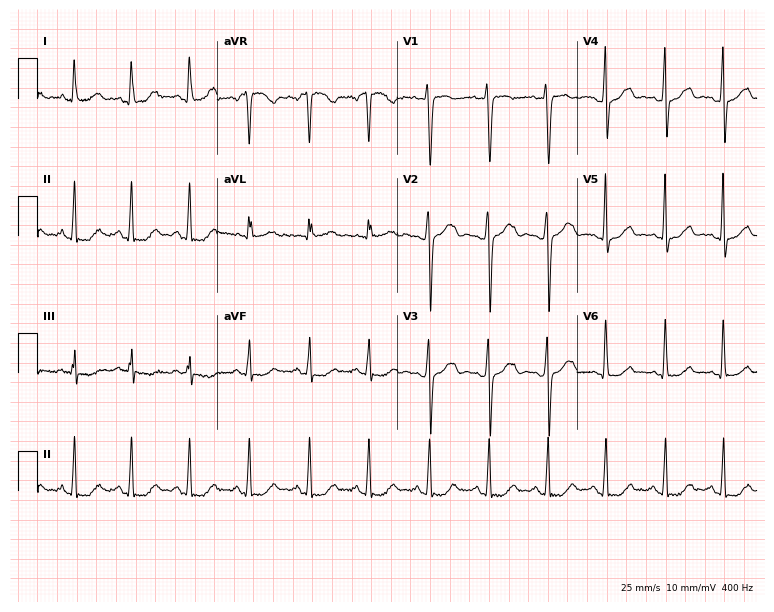
ECG — a woman, 26 years old. Screened for six findings — first-degree AV block, right bundle branch block (RBBB), left bundle branch block (LBBB), sinus bradycardia, atrial fibrillation (AF), sinus tachycardia — none is recorded.